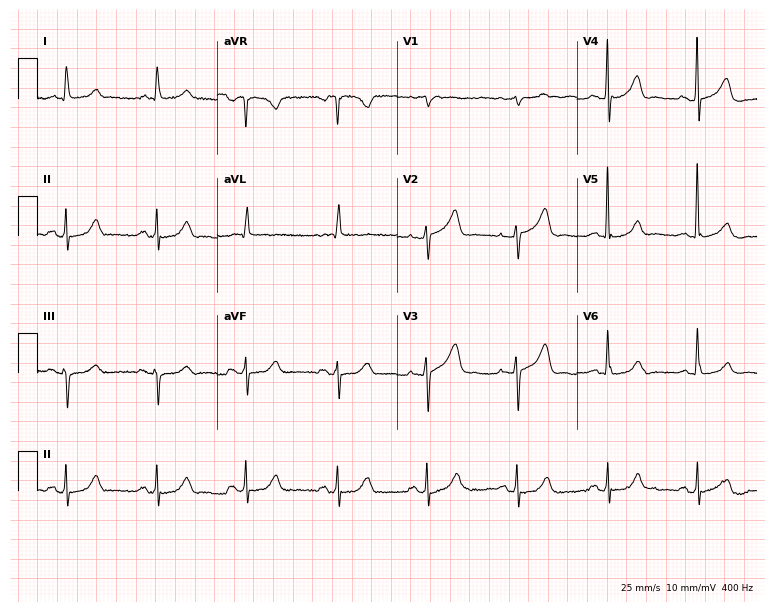
Electrocardiogram (7.3-second recording at 400 Hz), a female patient, 81 years old. Of the six screened findings (first-degree AV block, right bundle branch block, left bundle branch block, sinus bradycardia, atrial fibrillation, sinus tachycardia), none is recorded. Other findings, if any, are not listed.